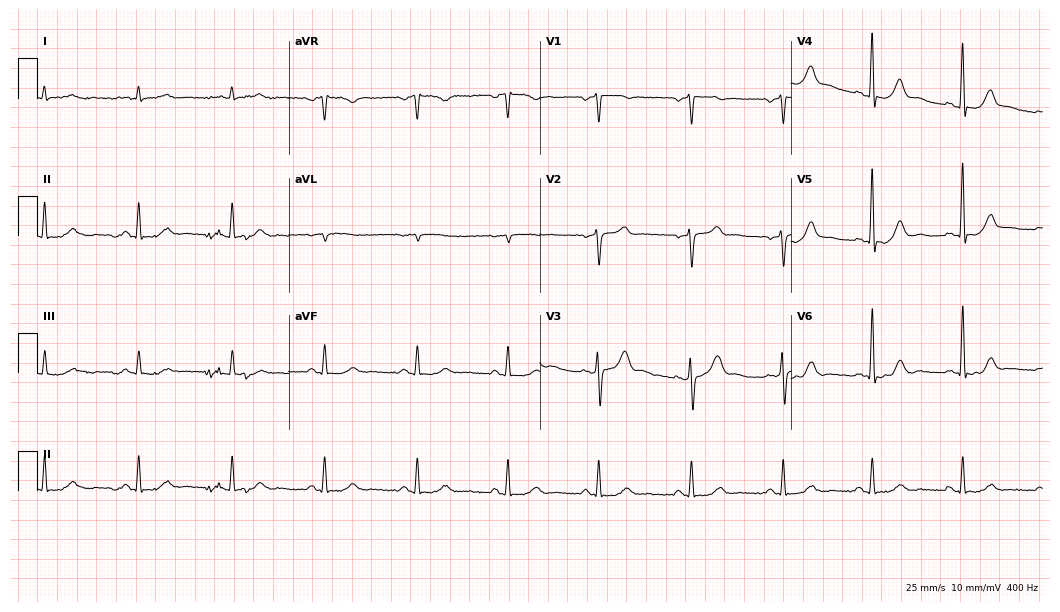
12-lead ECG from a man, 63 years old (10.2-second recording at 400 Hz). No first-degree AV block, right bundle branch block (RBBB), left bundle branch block (LBBB), sinus bradycardia, atrial fibrillation (AF) or sinus tachycardia recorded for this tracing. Only these six findings were labelled.